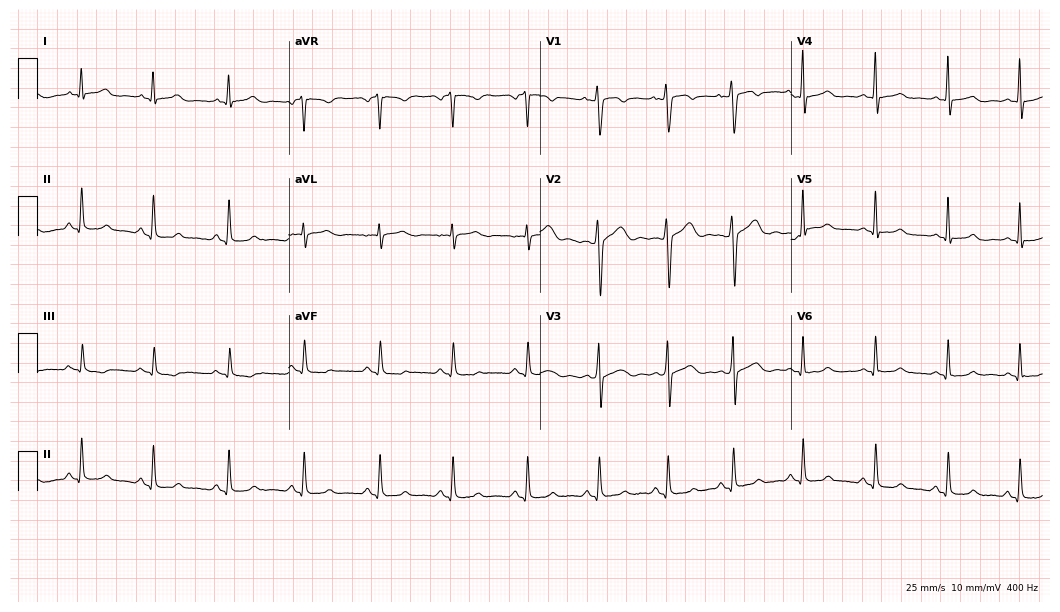
Standard 12-lead ECG recorded from a woman, 30 years old. Read as a normal ECG.